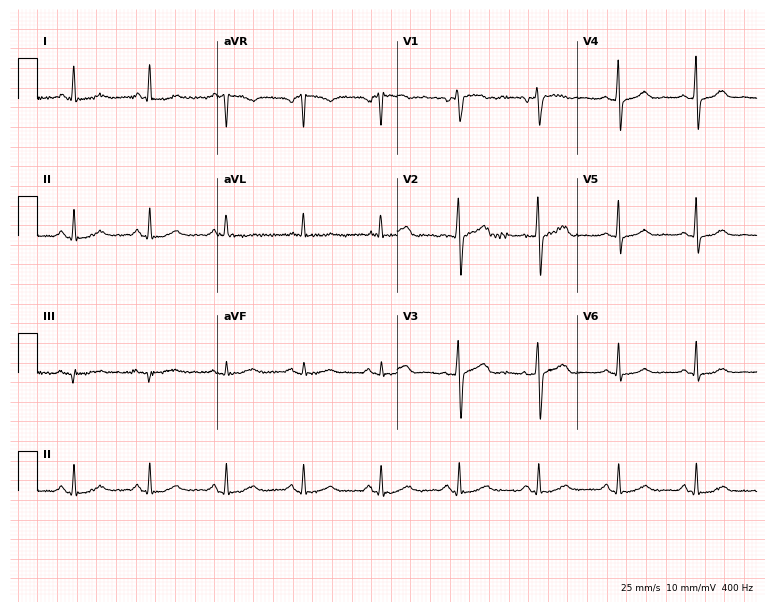
Standard 12-lead ECG recorded from a female, 63 years old (7.3-second recording at 400 Hz). Read as a normal ECG.